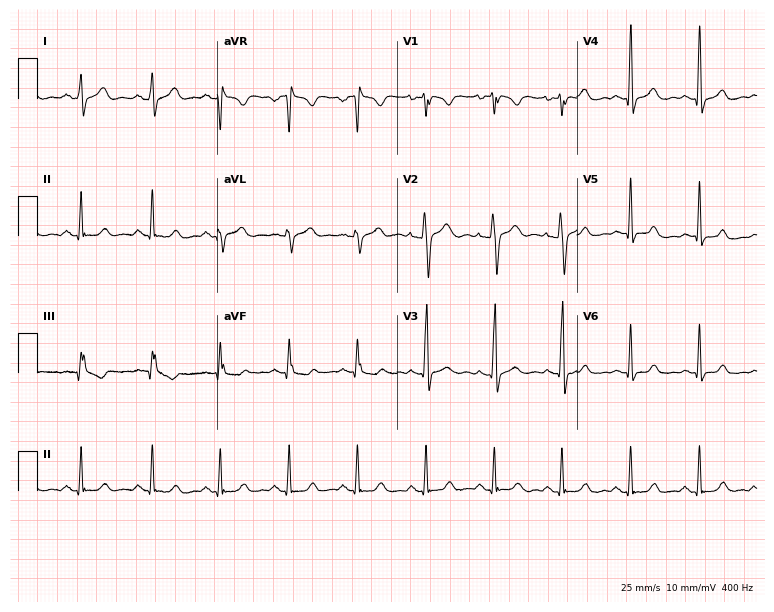
Resting 12-lead electrocardiogram. Patient: a 29-year-old male. Read as a normal ECG.